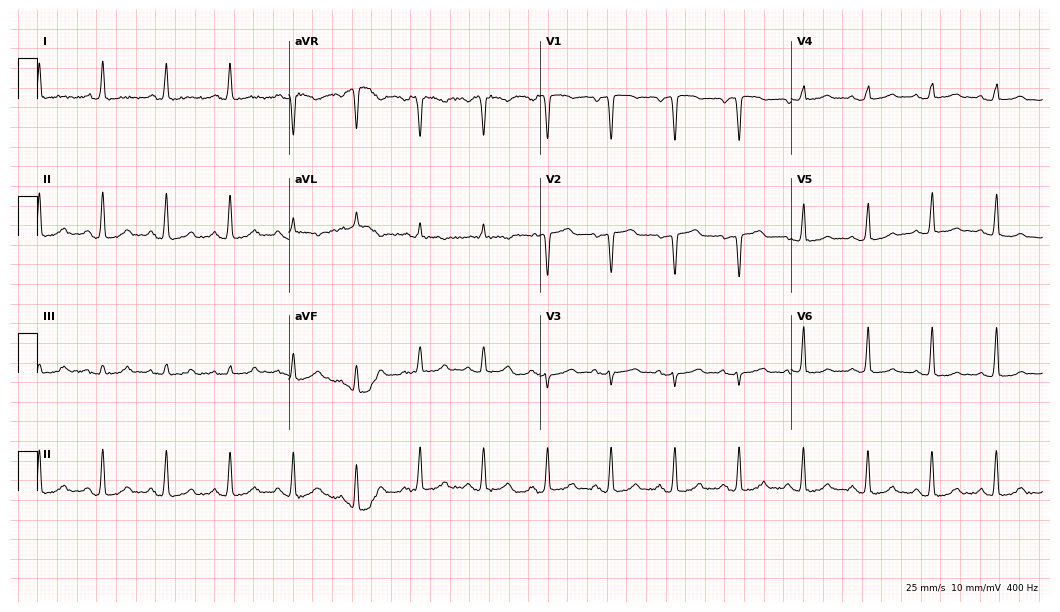
12-lead ECG (10.2-second recording at 400 Hz) from a 66-year-old woman. Screened for six findings — first-degree AV block, right bundle branch block, left bundle branch block, sinus bradycardia, atrial fibrillation, sinus tachycardia — none is recorded.